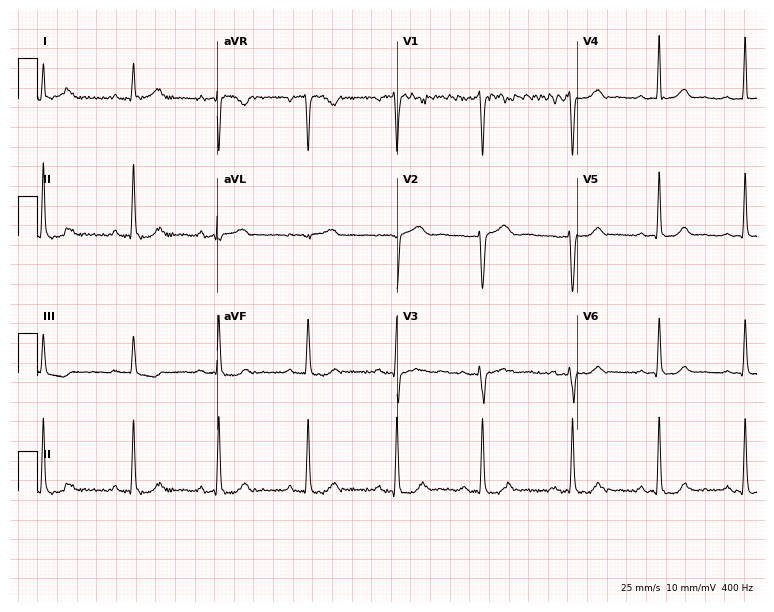
Standard 12-lead ECG recorded from a female, 44 years old. Read as a normal ECG.